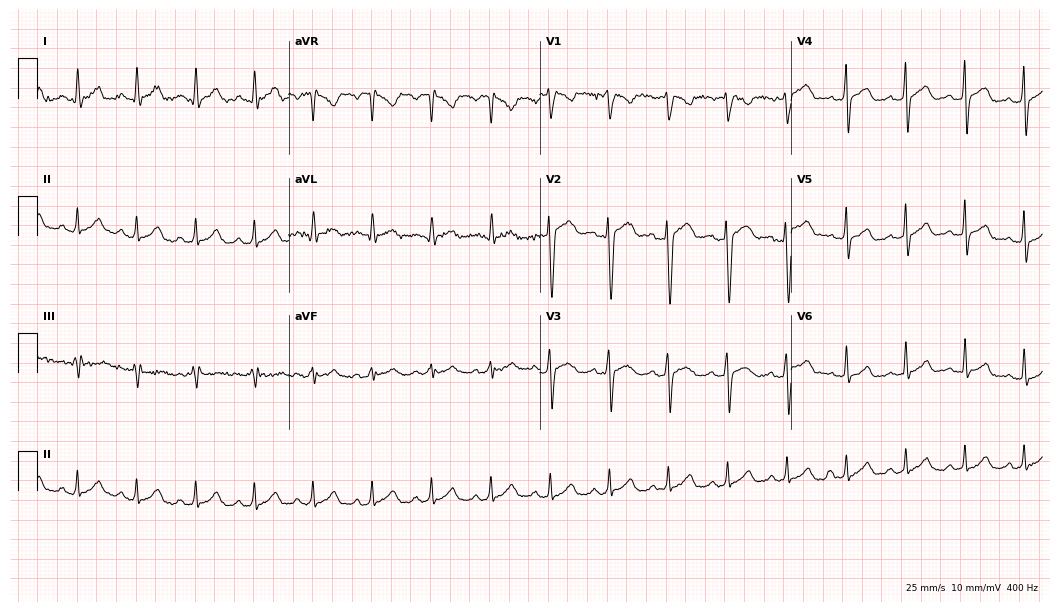
Standard 12-lead ECG recorded from a man, 25 years old (10.2-second recording at 400 Hz). None of these six findings is recorded: first-degree AV block, right bundle branch block, left bundle branch block, sinus bradycardia, atrial fibrillation, sinus tachycardia.